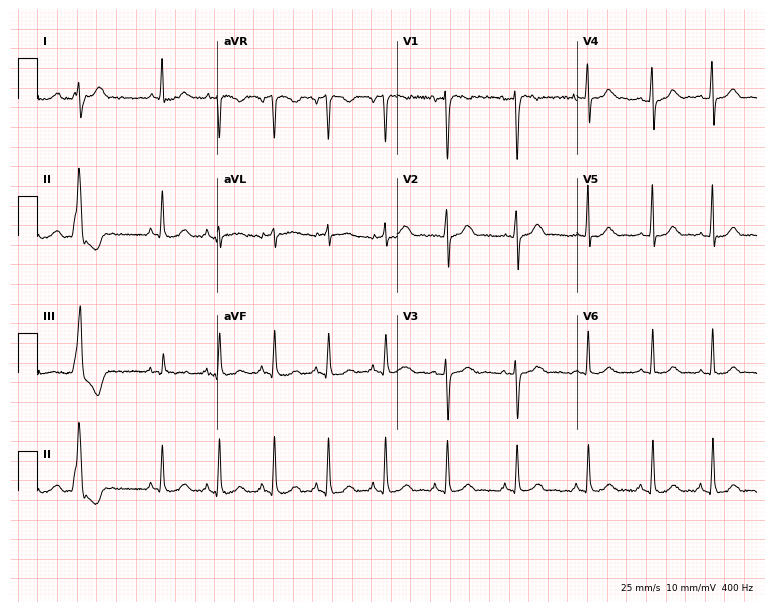
Electrocardiogram (7.3-second recording at 400 Hz), a female patient, 34 years old. Of the six screened findings (first-degree AV block, right bundle branch block, left bundle branch block, sinus bradycardia, atrial fibrillation, sinus tachycardia), none is recorded.